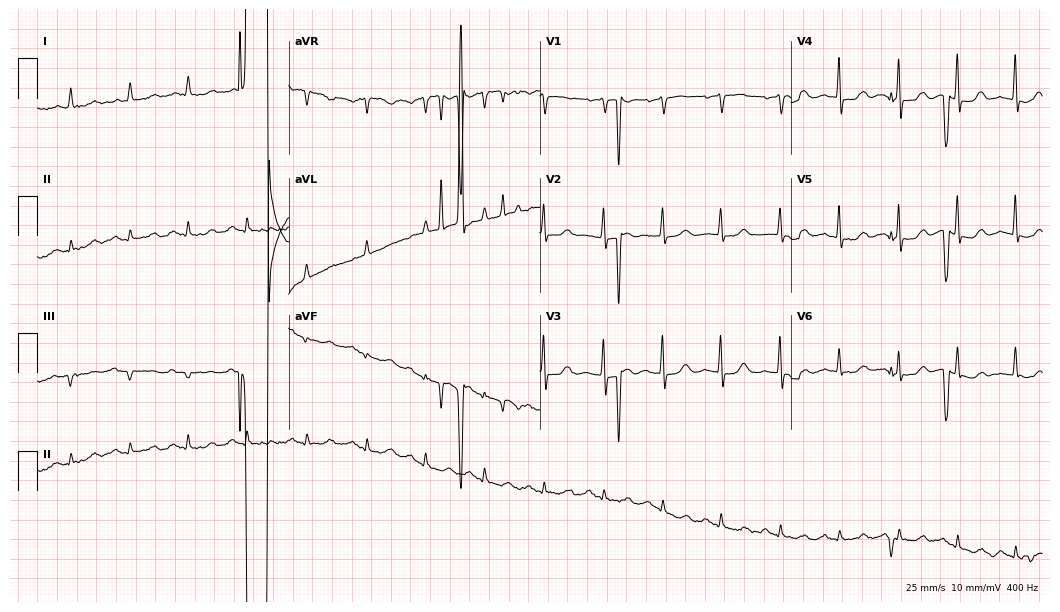
12-lead ECG from an 84-year-old woman. Screened for six findings — first-degree AV block, right bundle branch block, left bundle branch block, sinus bradycardia, atrial fibrillation, sinus tachycardia — none is recorded.